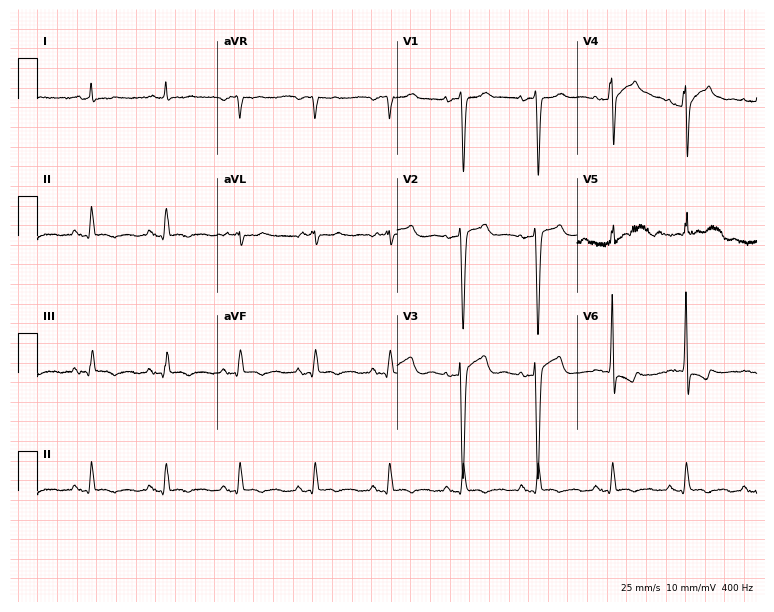
Standard 12-lead ECG recorded from a 75-year-old female (7.3-second recording at 400 Hz). None of these six findings is recorded: first-degree AV block, right bundle branch block, left bundle branch block, sinus bradycardia, atrial fibrillation, sinus tachycardia.